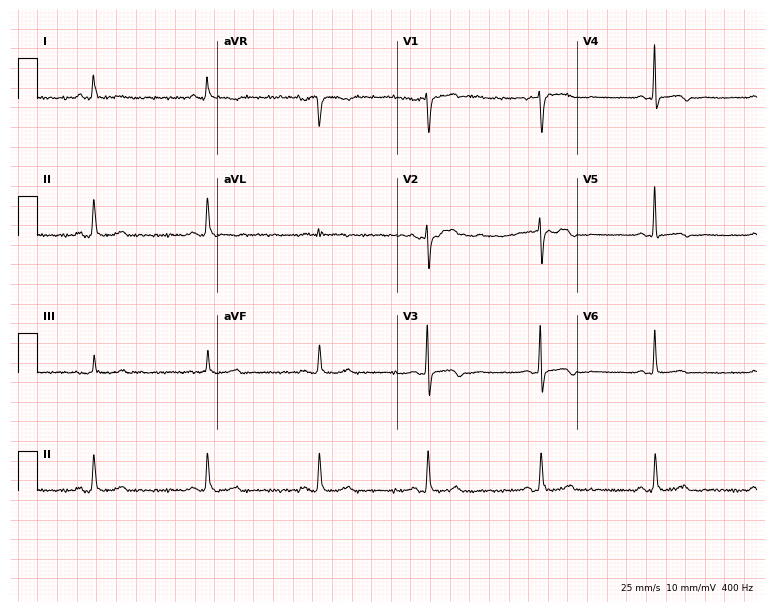
Electrocardiogram, a female, 57 years old. Of the six screened findings (first-degree AV block, right bundle branch block, left bundle branch block, sinus bradycardia, atrial fibrillation, sinus tachycardia), none is recorded. Other findings, if any, are not listed.